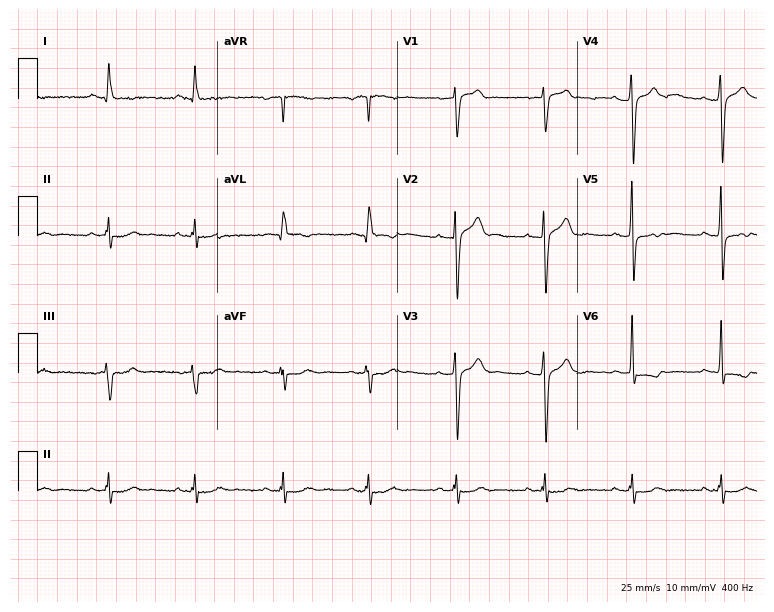
Standard 12-lead ECG recorded from a male, 86 years old. None of these six findings is recorded: first-degree AV block, right bundle branch block (RBBB), left bundle branch block (LBBB), sinus bradycardia, atrial fibrillation (AF), sinus tachycardia. Other findings, if any, are not listed.